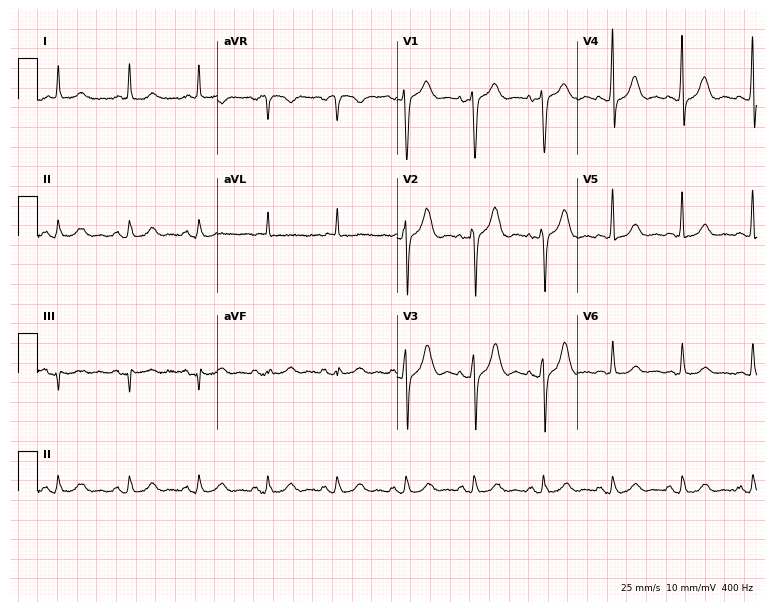
Standard 12-lead ECG recorded from a 71-year-old male patient. None of these six findings is recorded: first-degree AV block, right bundle branch block, left bundle branch block, sinus bradycardia, atrial fibrillation, sinus tachycardia.